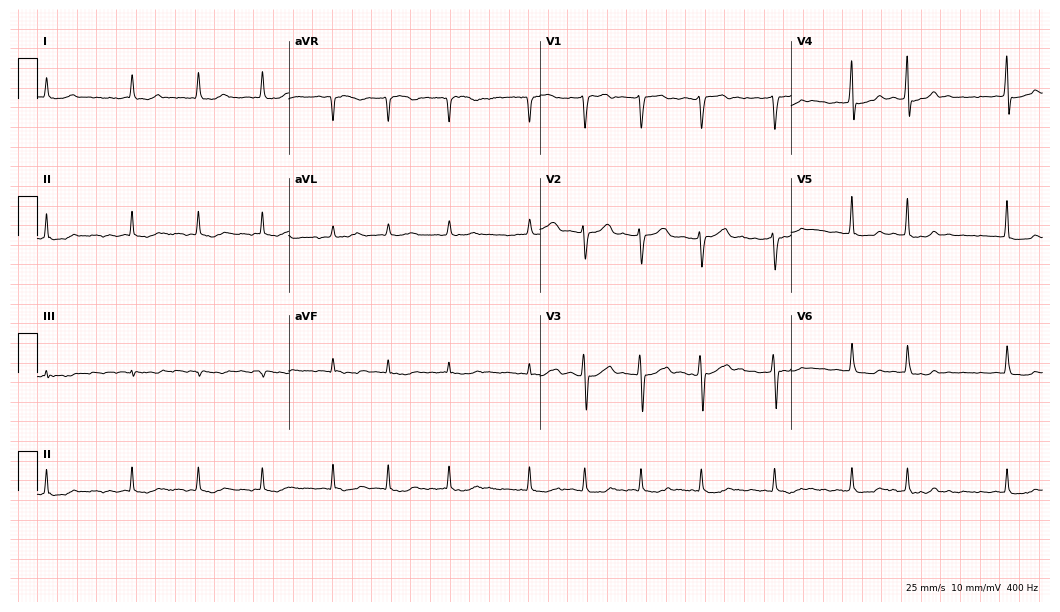
12-lead ECG (10.2-second recording at 400 Hz) from a 79-year-old male. Findings include atrial fibrillation.